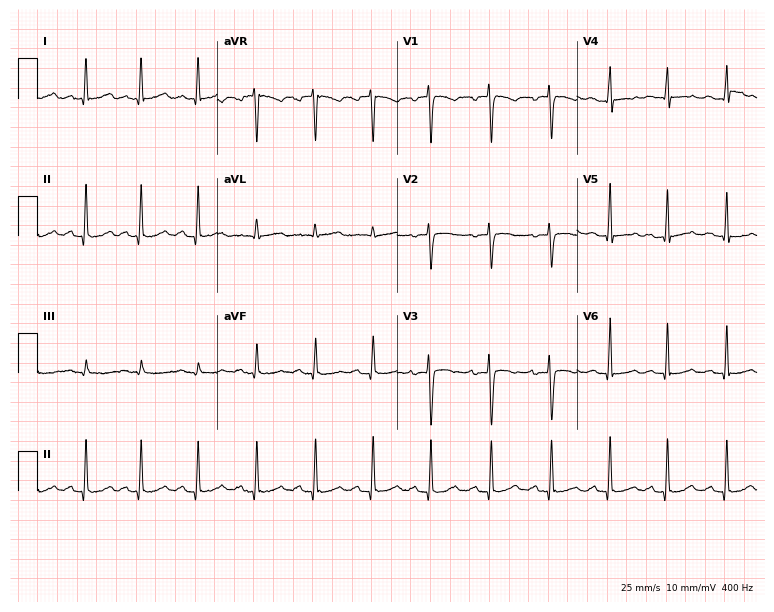
Resting 12-lead electrocardiogram (7.3-second recording at 400 Hz). Patient: a 36-year-old woman. The tracing shows sinus tachycardia (a sinus rate of 100 beats per minute or more).